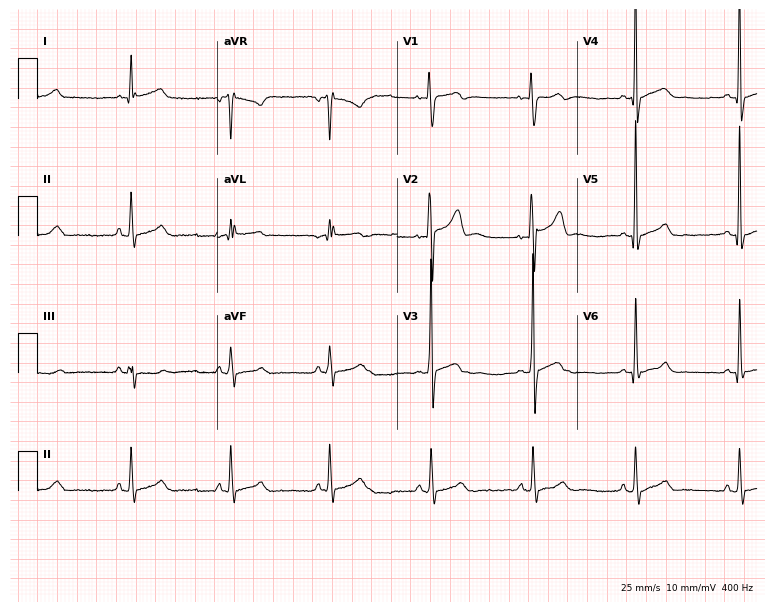
Electrocardiogram, a 36-year-old male. Of the six screened findings (first-degree AV block, right bundle branch block, left bundle branch block, sinus bradycardia, atrial fibrillation, sinus tachycardia), none is recorded. Other findings, if any, are not listed.